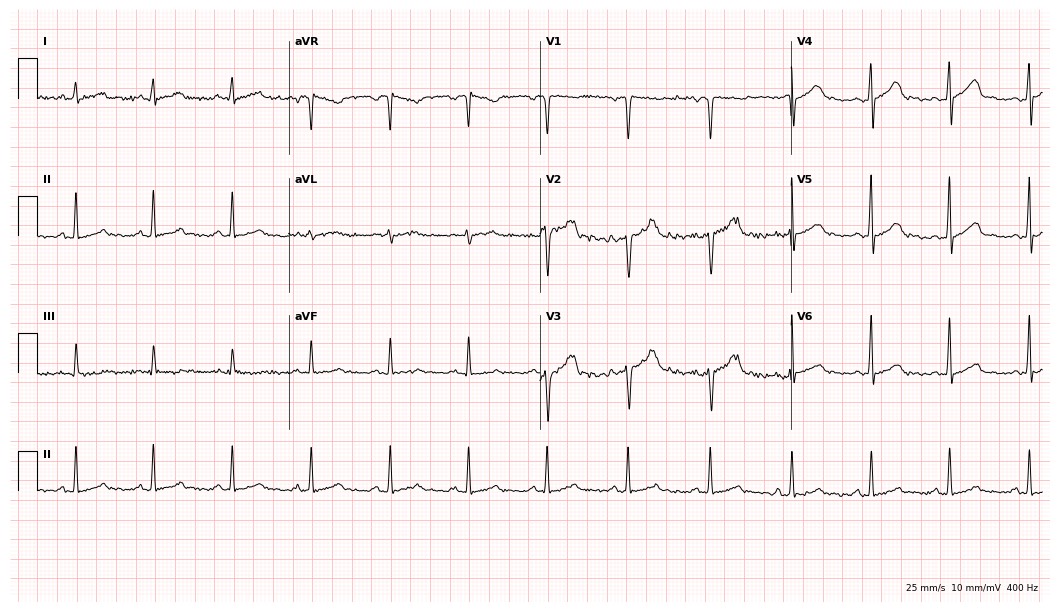
Standard 12-lead ECG recorded from a 41-year-old man (10.2-second recording at 400 Hz). Read as a normal ECG.